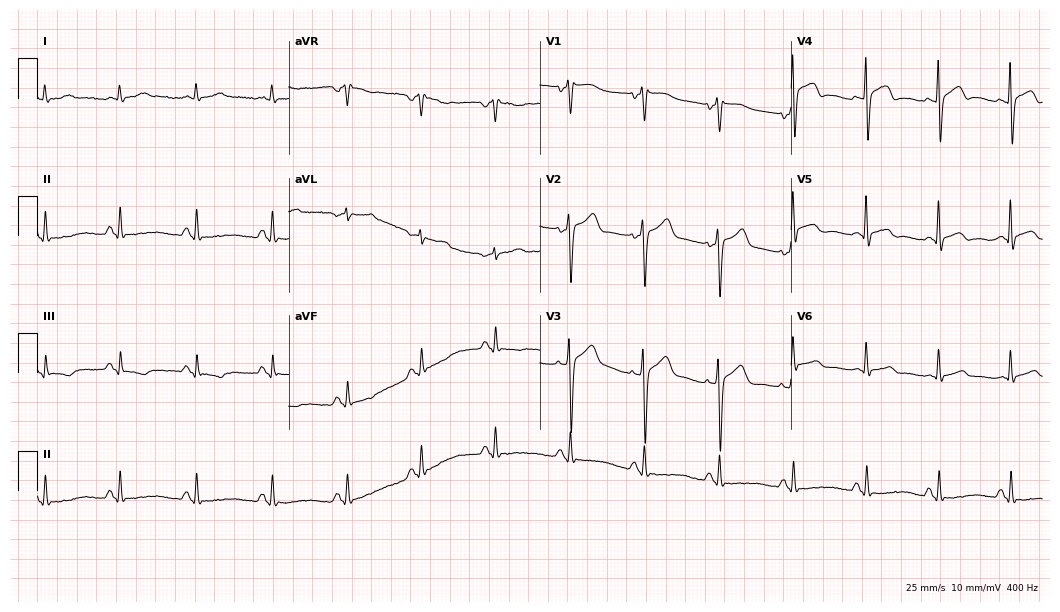
Electrocardiogram (10.2-second recording at 400 Hz), a man, 56 years old. Of the six screened findings (first-degree AV block, right bundle branch block, left bundle branch block, sinus bradycardia, atrial fibrillation, sinus tachycardia), none is recorded. Findings outside these six are not listed.